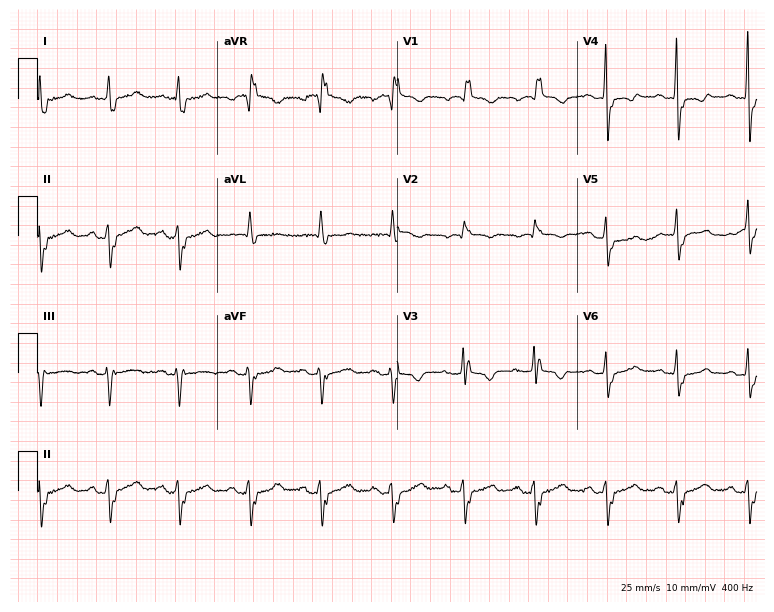
12-lead ECG from an 80-year-old female. Shows right bundle branch block.